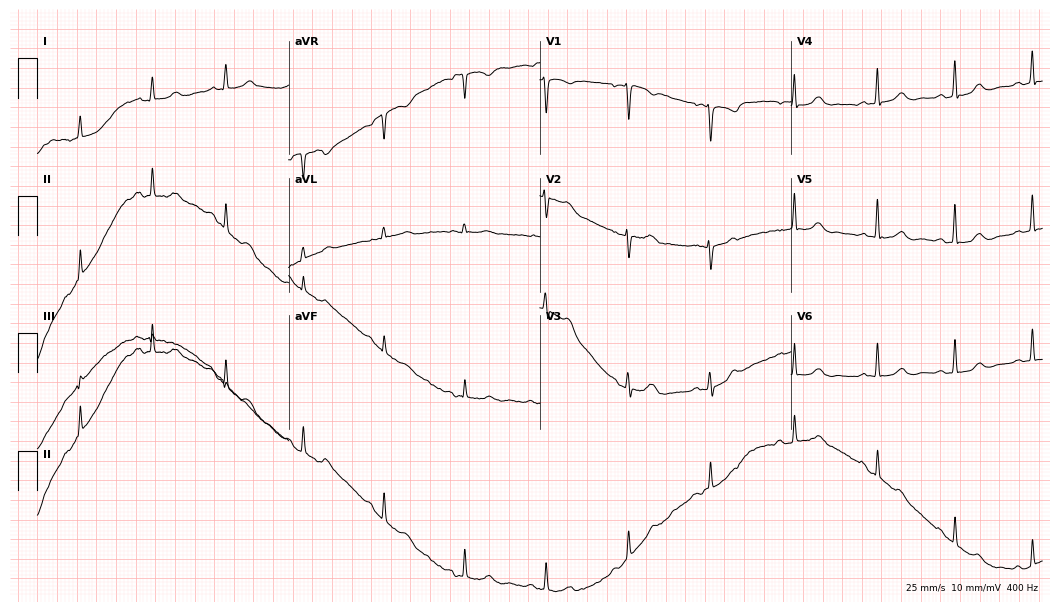
ECG (10.2-second recording at 400 Hz) — a female, 54 years old. Labelled as a normal ECG.